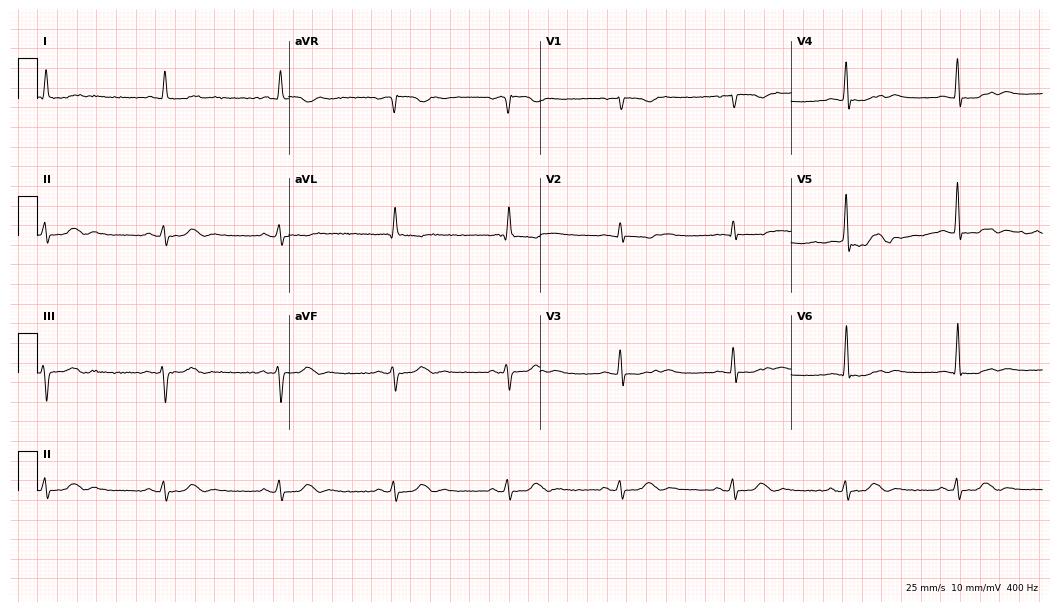
Standard 12-lead ECG recorded from a male, 84 years old (10.2-second recording at 400 Hz). None of these six findings is recorded: first-degree AV block, right bundle branch block, left bundle branch block, sinus bradycardia, atrial fibrillation, sinus tachycardia. Findings outside these six are not listed.